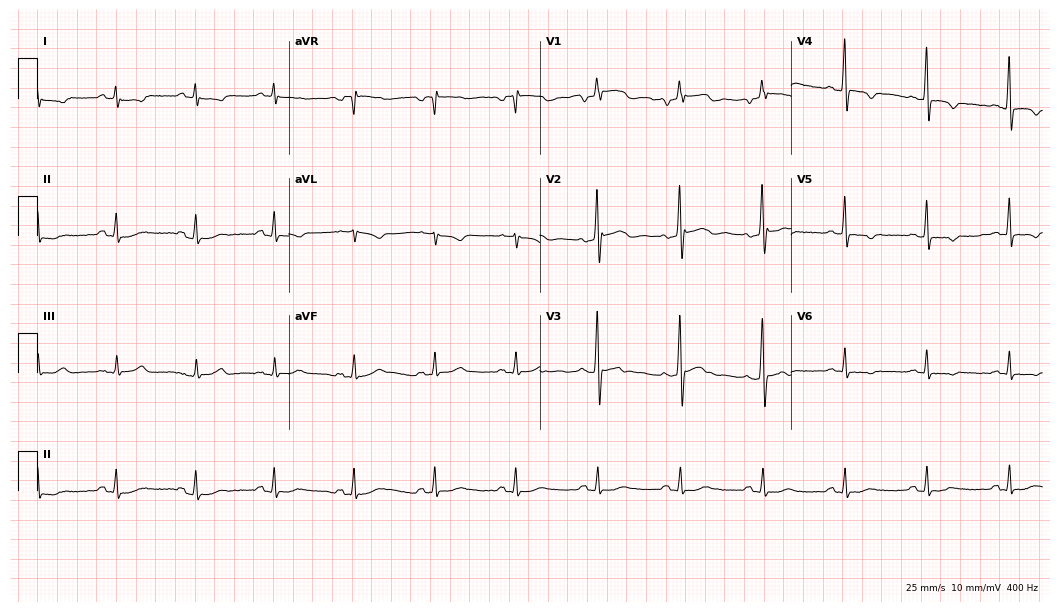
Standard 12-lead ECG recorded from a male patient, 66 years old. None of these six findings is recorded: first-degree AV block, right bundle branch block, left bundle branch block, sinus bradycardia, atrial fibrillation, sinus tachycardia. Other findings, if any, are not listed.